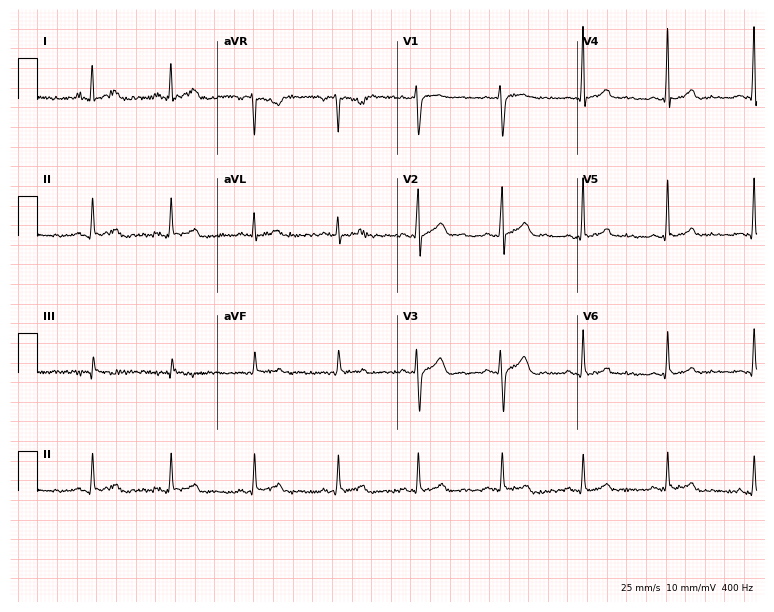
Resting 12-lead electrocardiogram. Patient: a male, 39 years old. Read as a normal ECG.